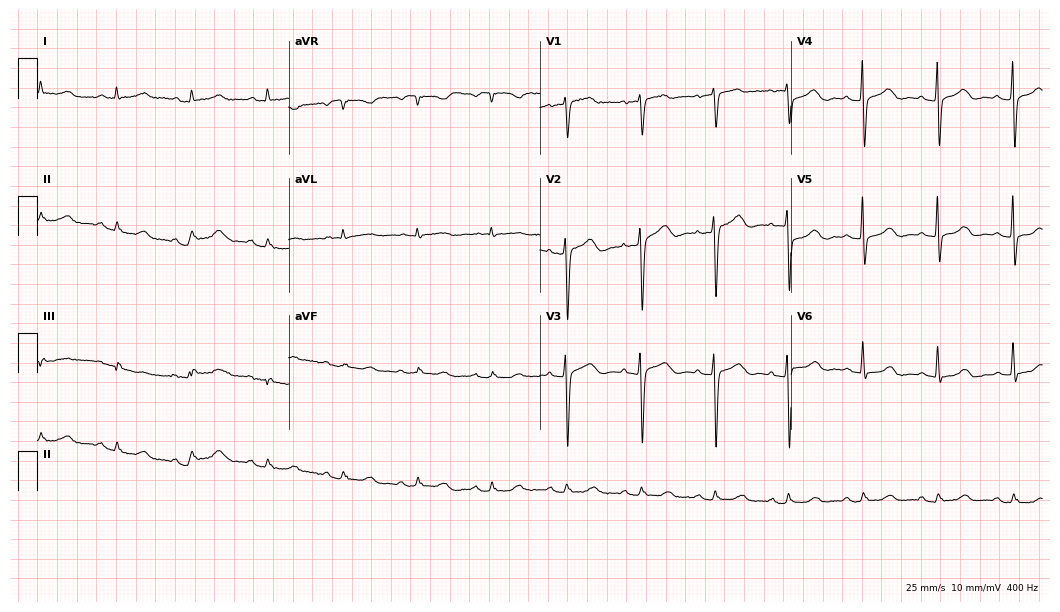
Standard 12-lead ECG recorded from a female, 81 years old. Read as a normal ECG.